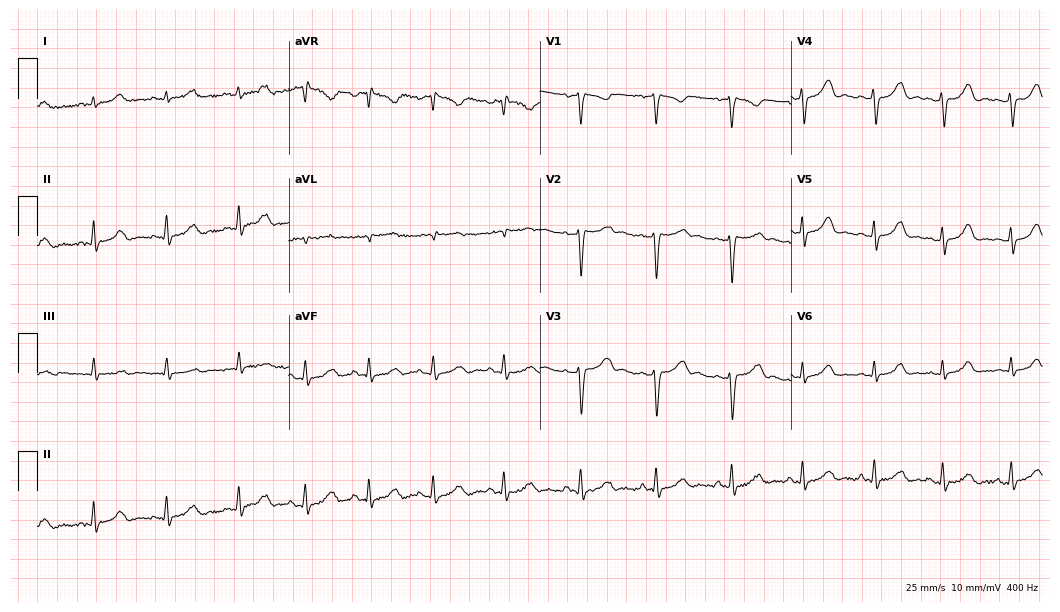
Electrocardiogram (10.2-second recording at 400 Hz), a female, 32 years old. Of the six screened findings (first-degree AV block, right bundle branch block, left bundle branch block, sinus bradycardia, atrial fibrillation, sinus tachycardia), none is recorded. Only these six findings were labelled.